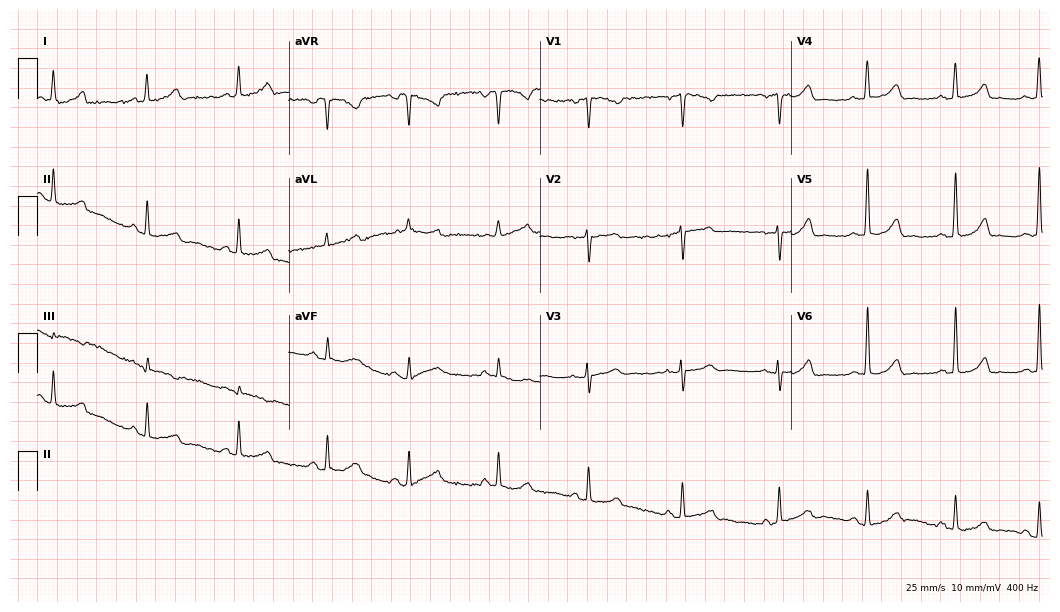
Standard 12-lead ECG recorded from a woman, 44 years old. Read as a normal ECG.